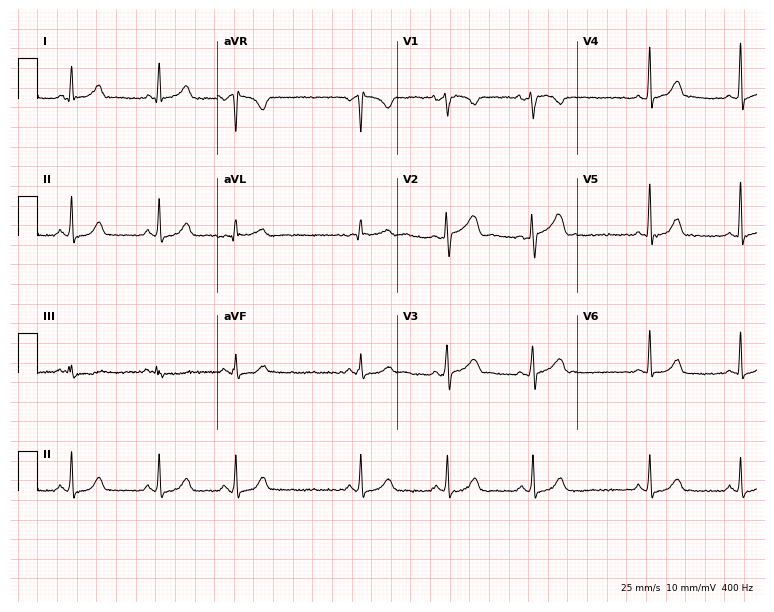
ECG — a 36-year-old female. Labelled as a normal ECG.